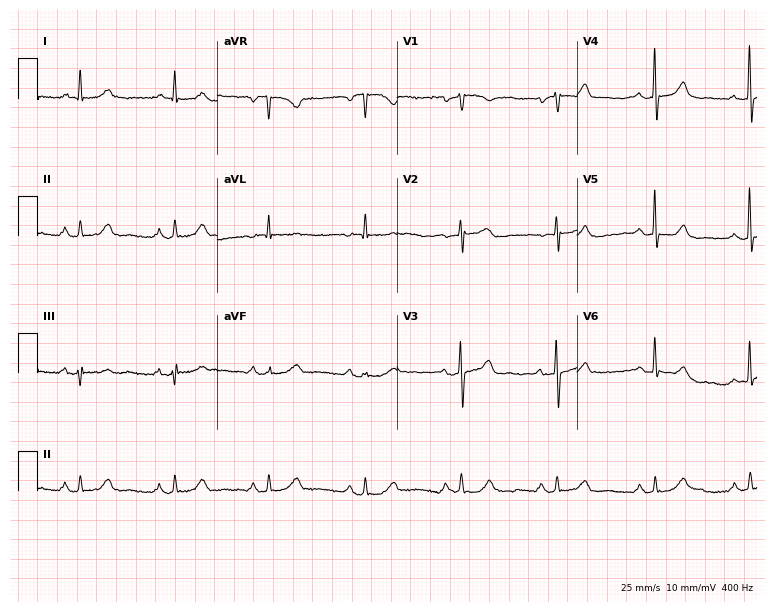
Standard 12-lead ECG recorded from a female patient, 79 years old. None of these six findings is recorded: first-degree AV block, right bundle branch block (RBBB), left bundle branch block (LBBB), sinus bradycardia, atrial fibrillation (AF), sinus tachycardia.